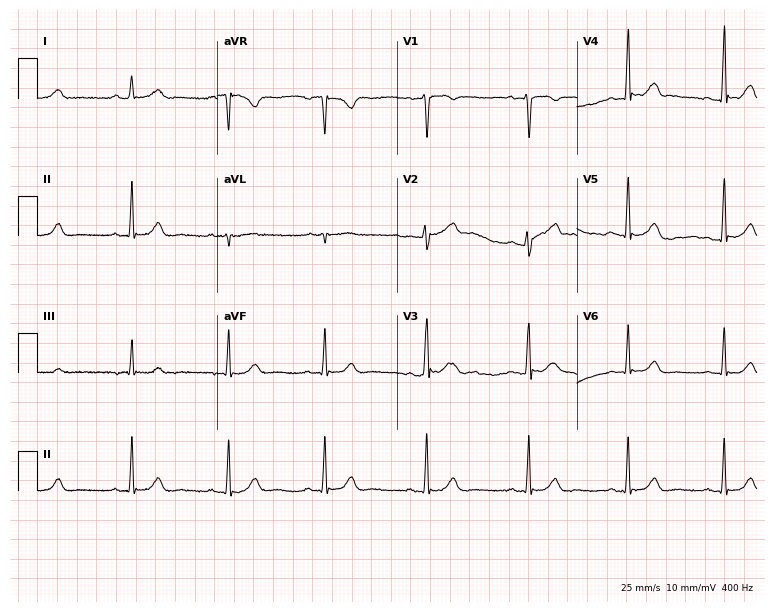
Resting 12-lead electrocardiogram (7.3-second recording at 400 Hz). Patient: a woman, 37 years old. Read as a normal ECG.